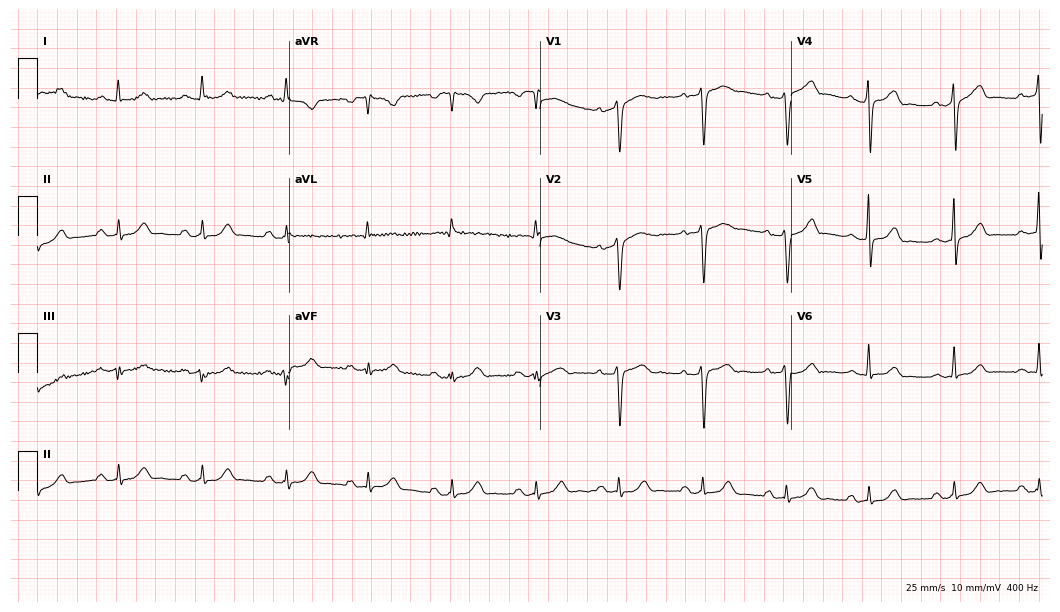
12-lead ECG (10.2-second recording at 400 Hz) from a 51-year-old male. Labelled as a normal ECG.